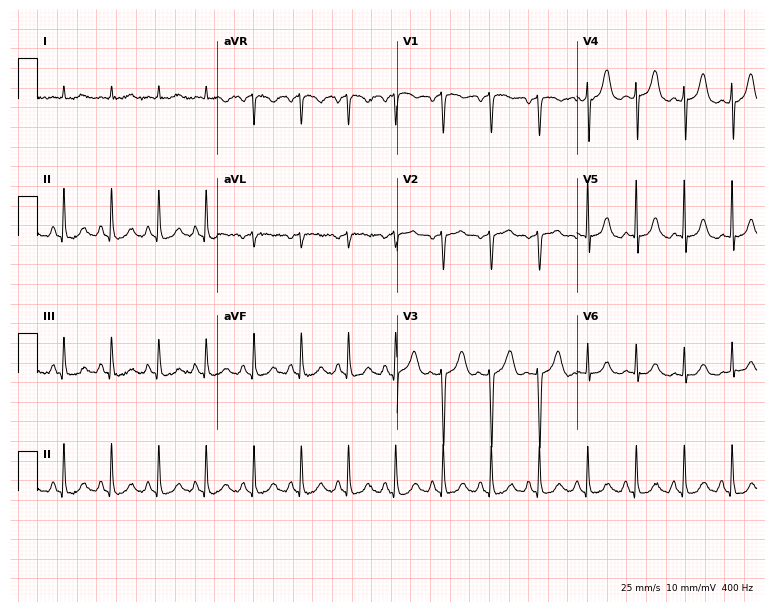
Standard 12-lead ECG recorded from an 83-year-old female patient (7.3-second recording at 400 Hz). None of these six findings is recorded: first-degree AV block, right bundle branch block, left bundle branch block, sinus bradycardia, atrial fibrillation, sinus tachycardia. Other findings, if any, are not listed.